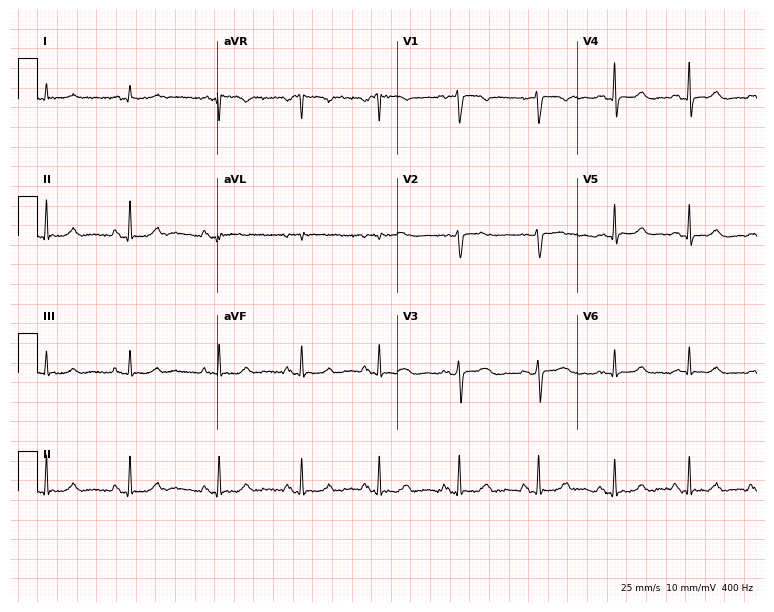
Standard 12-lead ECG recorded from a 36-year-old female (7.3-second recording at 400 Hz). None of these six findings is recorded: first-degree AV block, right bundle branch block (RBBB), left bundle branch block (LBBB), sinus bradycardia, atrial fibrillation (AF), sinus tachycardia.